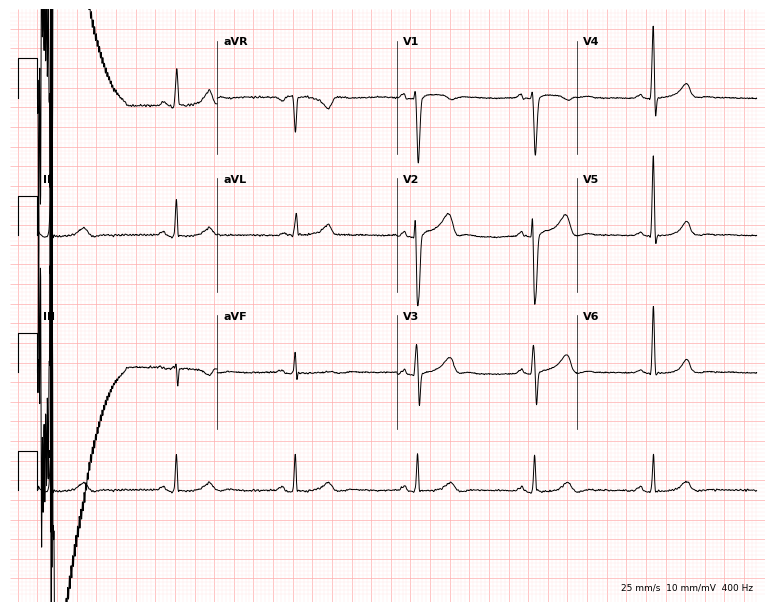
12-lead ECG from a man, 60 years old. Shows sinus bradycardia (a sinus rate of 50 beats per minute or less).